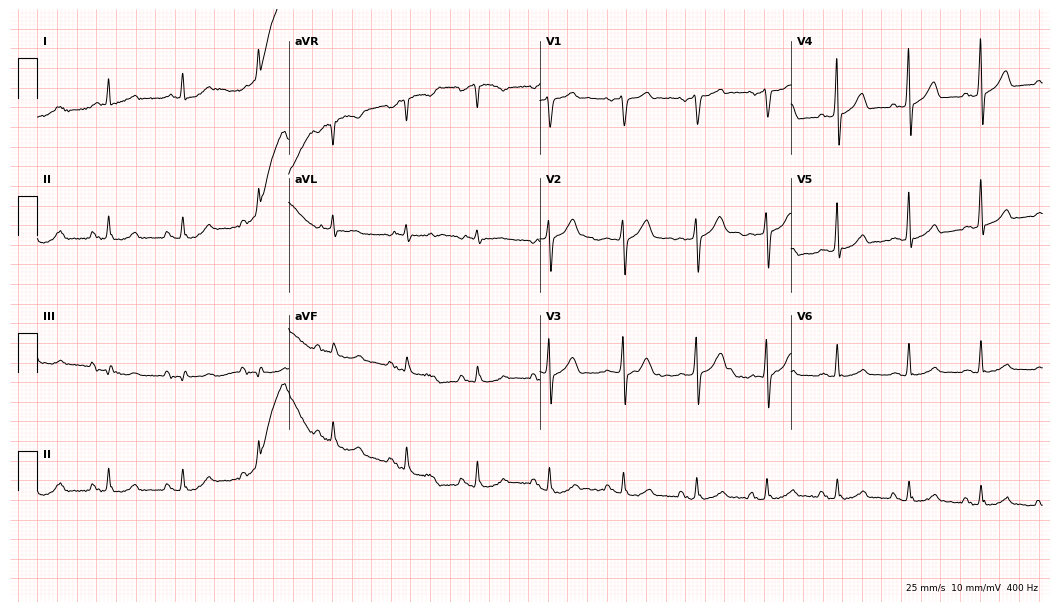
ECG — a man, 68 years old. Labelled as a normal ECG.